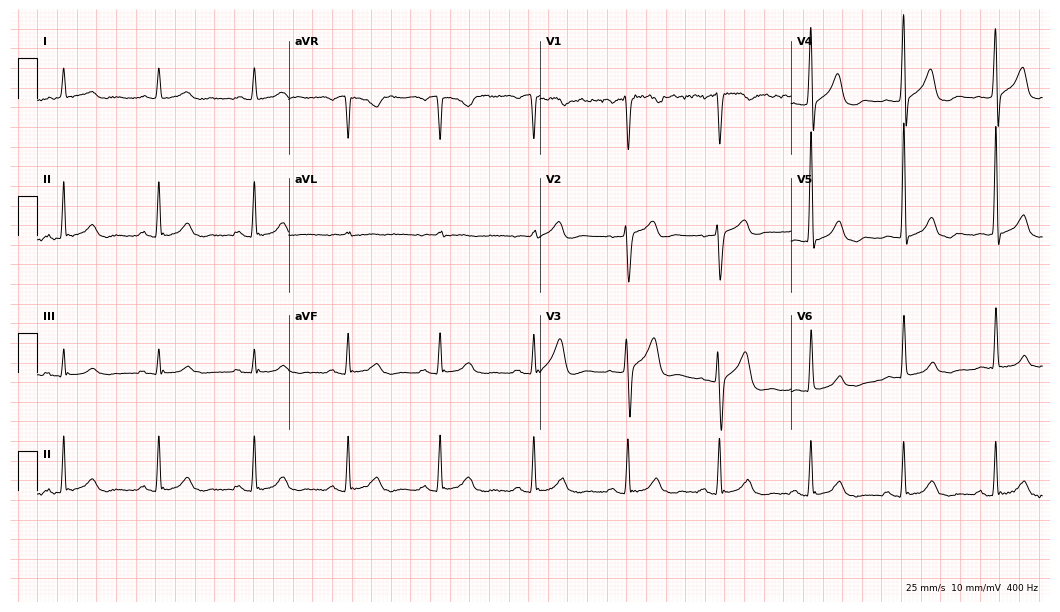
Standard 12-lead ECG recorded from a 52-year-old man. Read as a normal ECG.